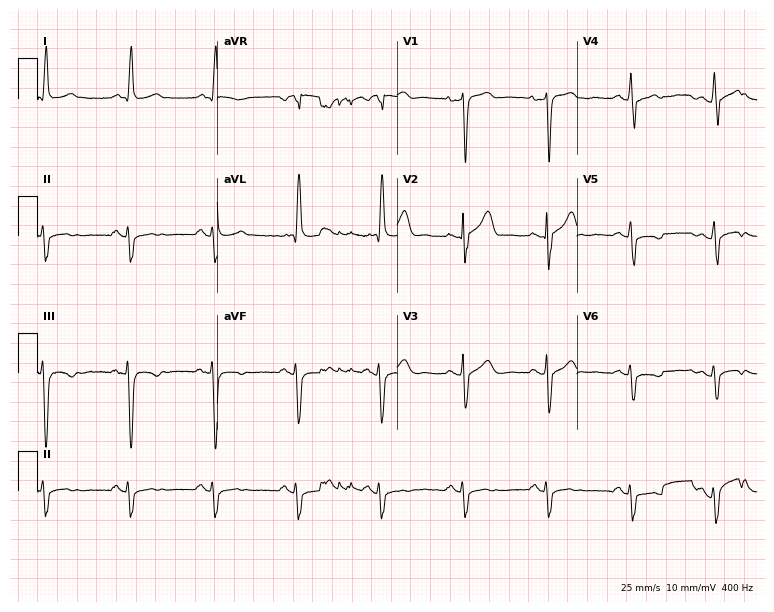
Electrocardiogram (7.3-second recording at 400 Hz), a male, 65 years old. Of the six screened findings (first-degree AV block, right bundle branch block (RBBB), left bundle branch block (LBBB), sinus bradycardia, atrial fibrillation (AF), sinus tachycardia), none is recorded. Only these six findings were labelled.